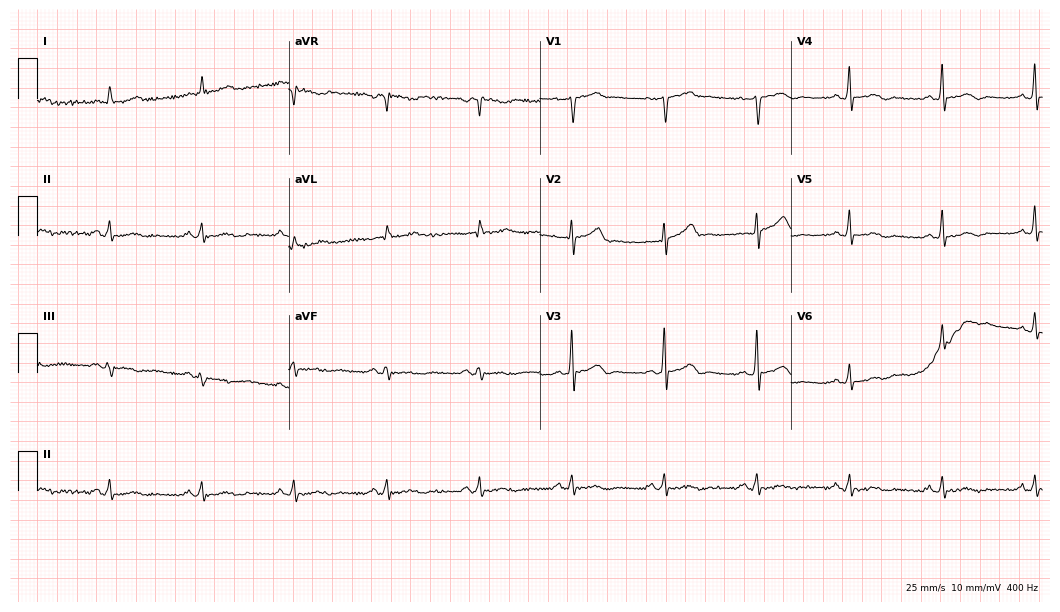
Standard 12-lead ECG recorded from a 57-year-old male (10.2-second recording at 400 Hz). None of these six findings is recorded: first-degree AV block, right bundle branch block (RBBB), left bundle branch block (LBBB), sinus bradycardia, atrial fibrillation (AF), sinus tachycardia.